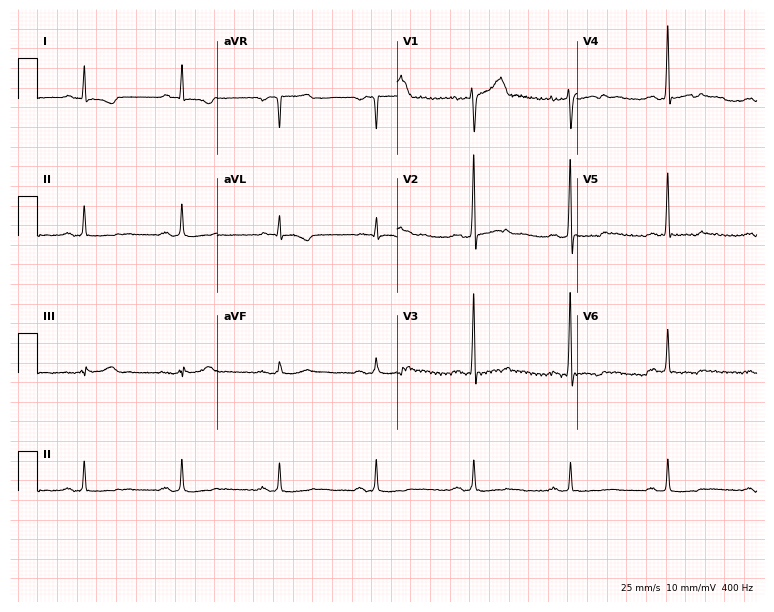
Resting 12-lead electrocardiogram (7.3-second recording at 400 Hz). Patient: a 65-year-old man. None of these six findings is recorded: first-degree AV block, right bundle branch block (RBBB), left bundle branch block (LBBB), sinus bradycardia, atrial fibrillation (AF), sinus tachycardia.